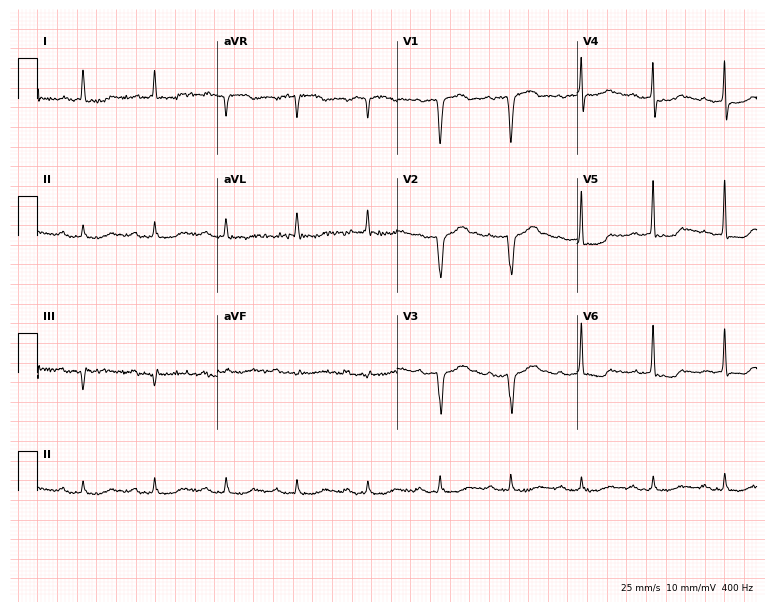
ECG (7.3-second recording at 400 Hz) — a man, 78 years old. Screened for six findings — first-degree AV block, right bundle branch block (RBBB), left bundle branch block (LBBB), sinus bradycardia, atrial fibrillation (AF), sinus tachycardia — none is recorded. Only these six findings were labelled.